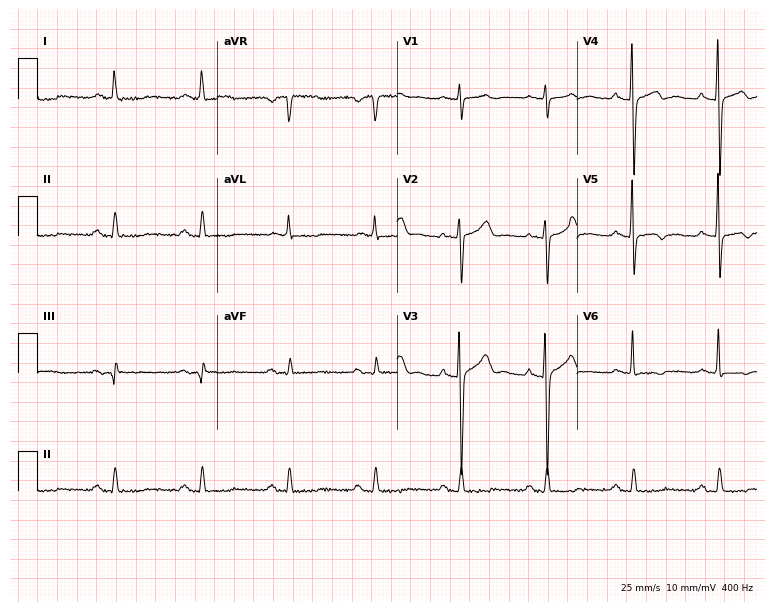
ECG (7.3-second recording at 400 Hz) — a 77-year-old male patient. Screened for six findings — first-degree AV block, right bundle branch block (RBBB), left bundle branch block (LBBB), sinus bradycardia, atrial fibrillation (AF), sinus tachycardia — none is recorded. Other findings, if any, are not listed.